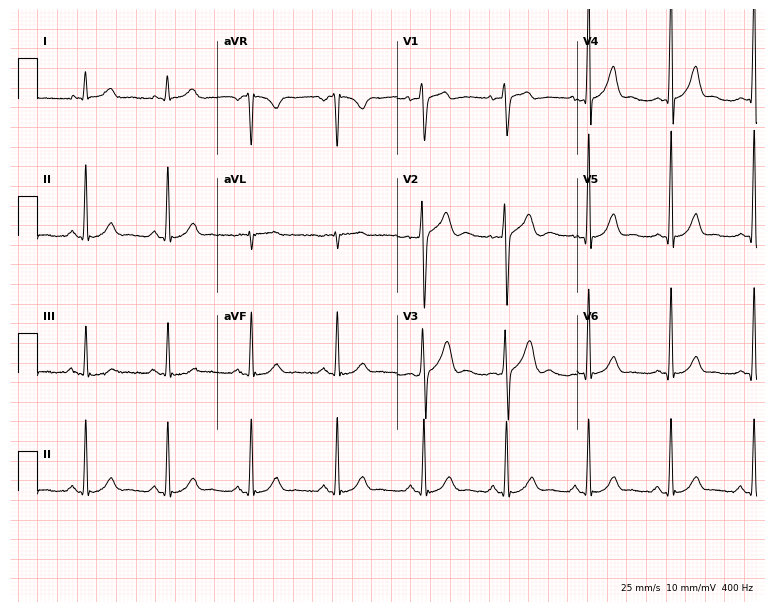
12-lead ECG from a 34-year-old male. Screened for six findings — first-degree AV block, right bundle branch block, left bundle branch block, sinus bradycardia, atrial fibrillation, sinus tachycardia — none is recorded.